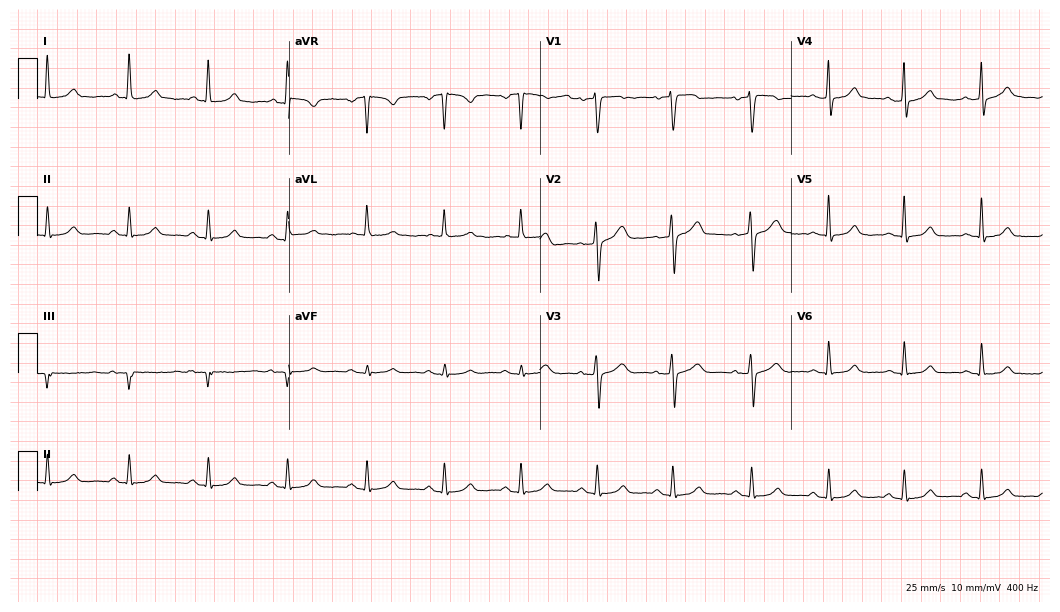
ECG (10.2-second recording at 400 Hz) — a 46-year-old female. Labelled as a normal ECG.